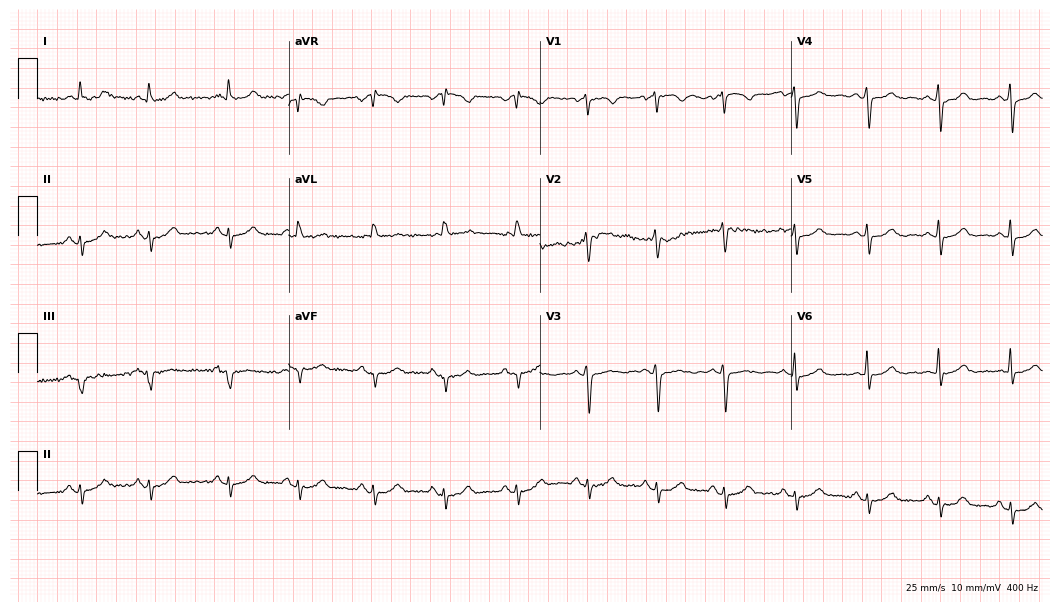
Resting 12-lead electrocardiogram. Patient: a female, 85 years old. None of these six findings is recorded: first-degree AV block, right bundle branch block (RBBB), left bundle branch block (LBBB), sinus bradycardia, atrial fibrillation (AF), sinus tachycardia.